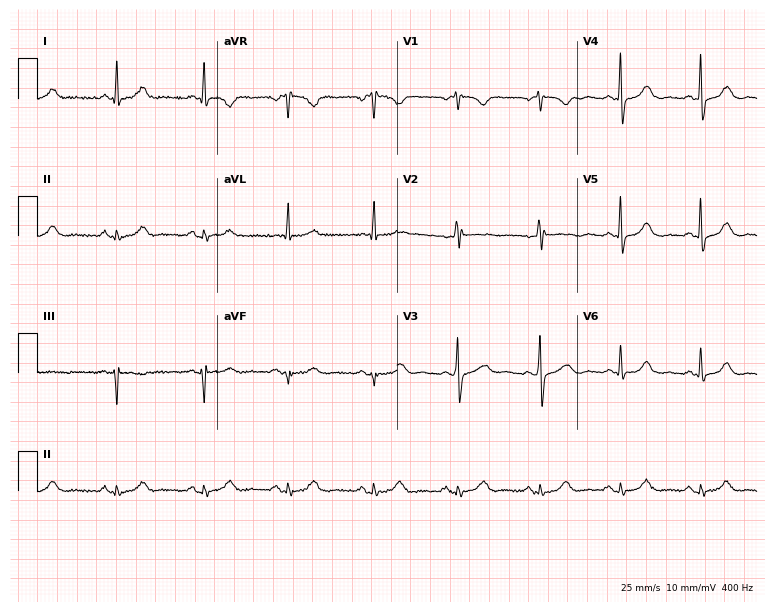
Resting 12-lead electrocardiogram. Patient: a female, 61 years old. Read as a normal ECG.